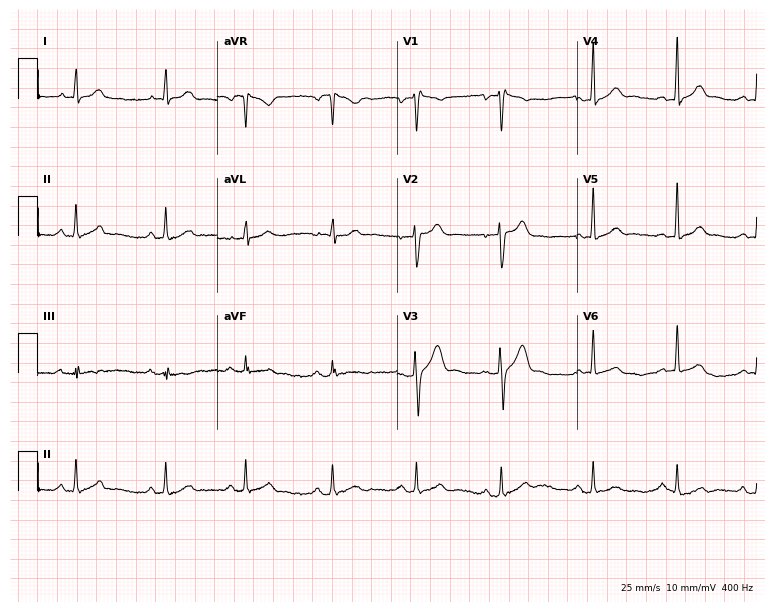
Standard 12-lead ECG recorded from a woman, 34 years old (7.3-second recording at 400 Hz). None of these six findings is recorded: first-degree AV block, right bundle branch block, left bundle branch block, sinus bradycardia, atrial fibrillation, sinus tachycardia. Only these six findings were labelled.